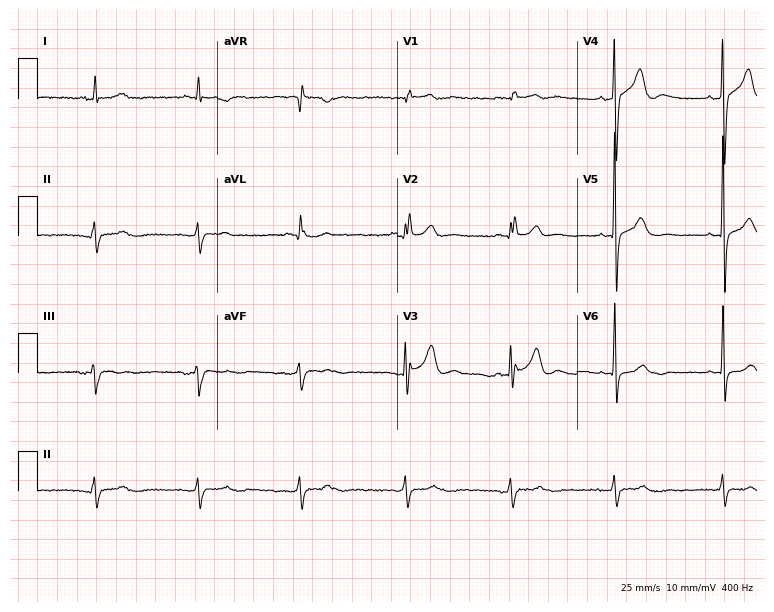
Electrocardiogram (7.3-second recording at 400 Hz), a 67-year-old male patient. Of the six screened findings (first-degree AV block, right bundle branch block (RBBB), left bundle branch block (LBBB), sinus bradycardia, atrial fibrillation (AF), sinus tachycardia), none is recorded. Findings outside these six are not listed.